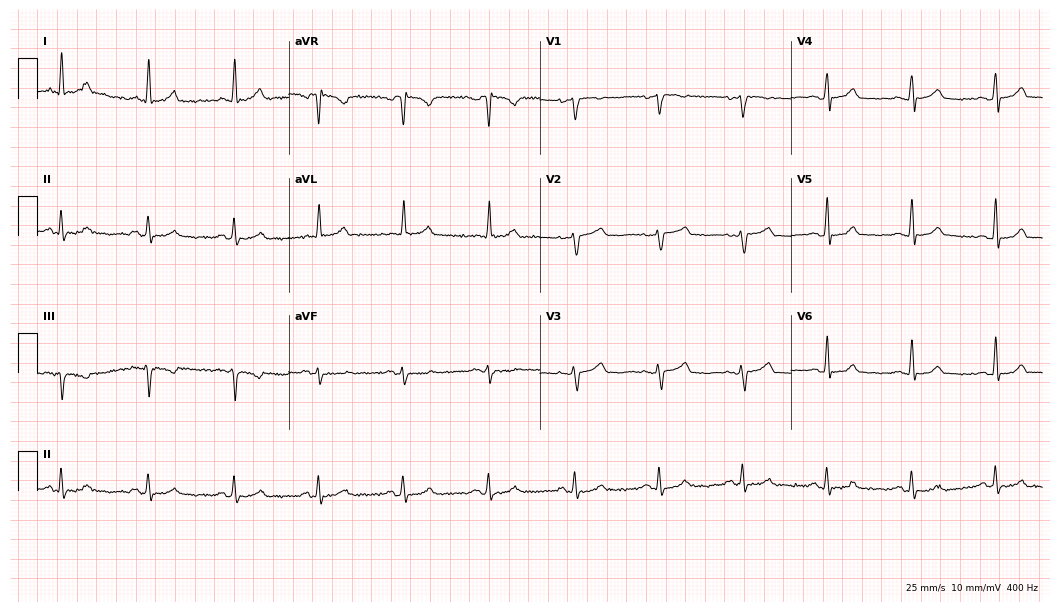
12-lead ECG from a female, 61 years old (10.2-second recording at 400 Hz). No first-degree AV block, right bundle branch block, left bundle branch block, sinus bradycardia, atrial fibrillation or sinus tachycardia recorded for this tracing. Other findings, if any, are not listed.